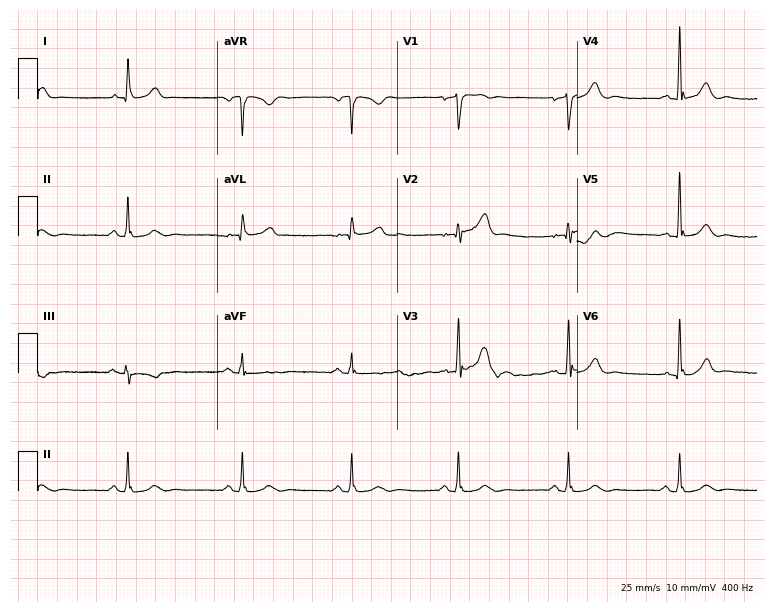
12-lead ECG from a male, 63 years old. Recorded interpretation: within normal limits.